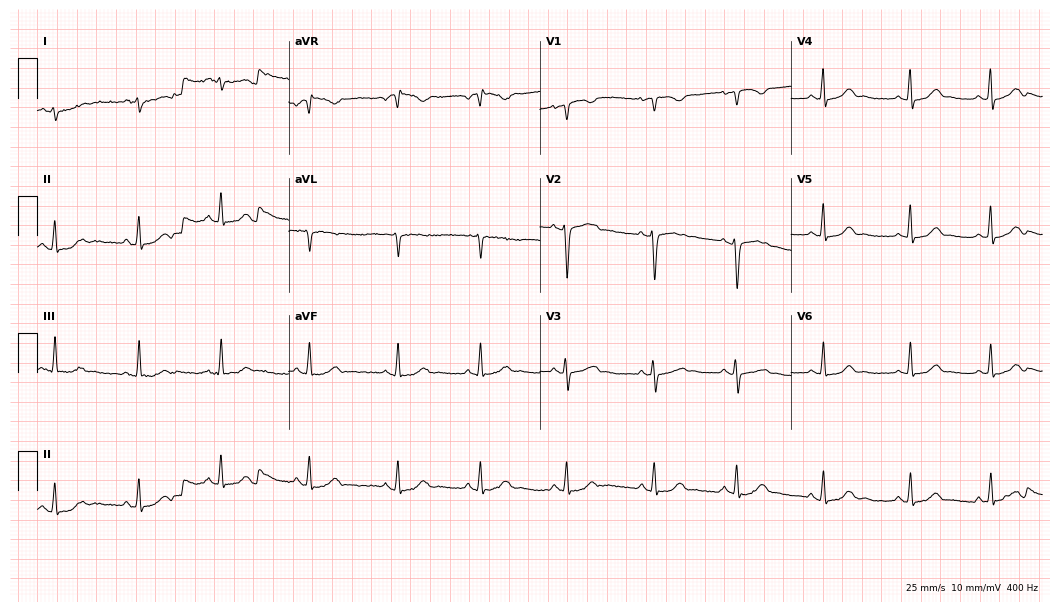
Electrocardiogram, a female patient, 21 years old. Of the six screened findings (first-degree AV block, right bundle branch block, left bundle branch block, sinus bradycardia, atrial fibrillation, sinus tachycardia), none is recorded.